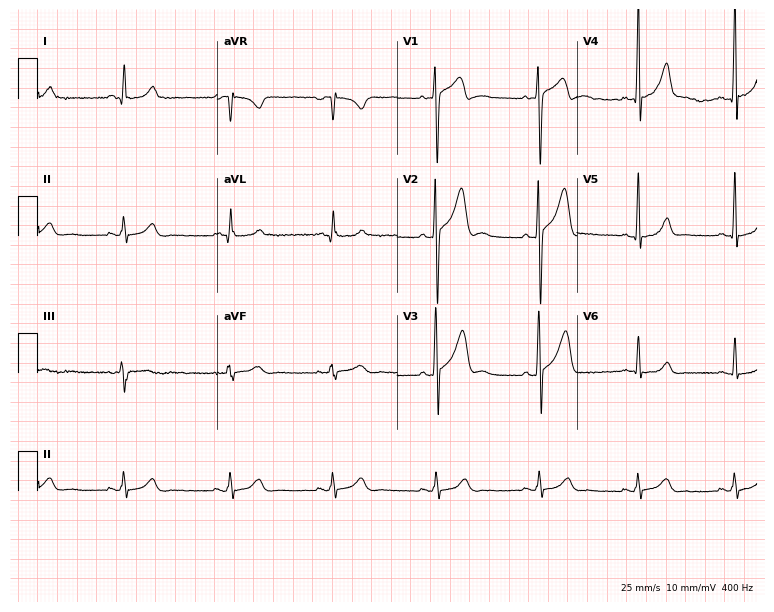
12-lead ECG from a 25-year-old male. Screened for six findings — first-degree AV block, right bundle branch block (RBBB), left bundle branch block (LBBB), sinus bradycardia, atrial fibrillation (AF), sinus tachycardia — none is recorded. Findings outside these six are not listed.